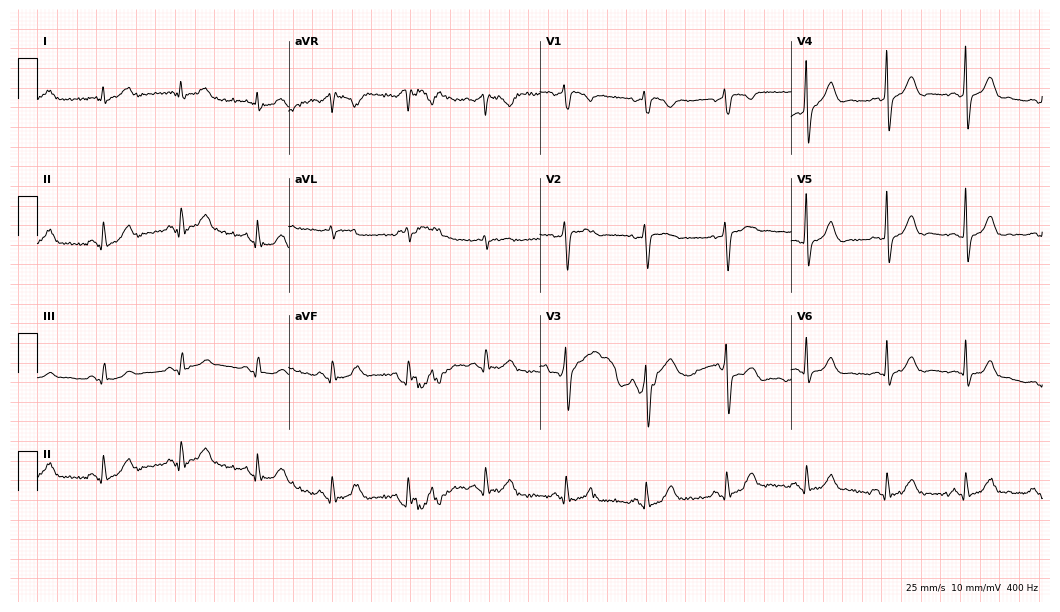
Standard 12-lead ECG recorded from a 53-year-old man. Read as a normal ECG.